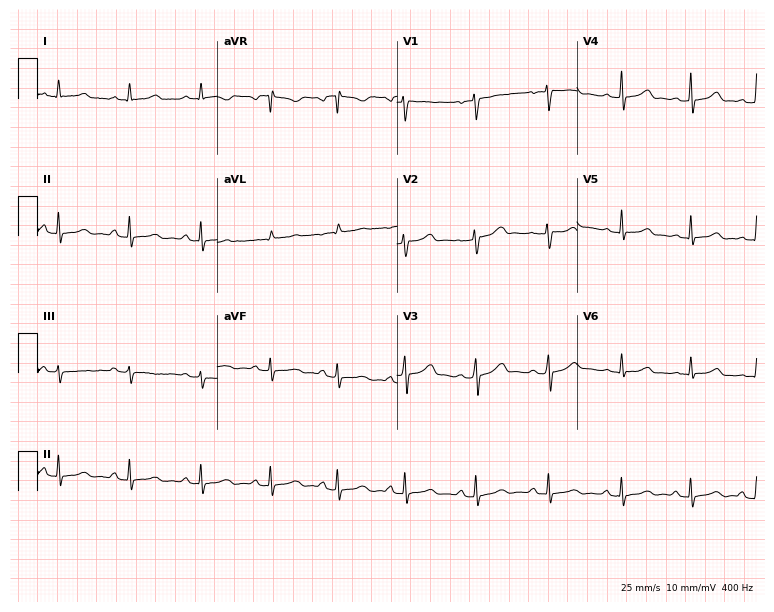
Resting 12-lead electrocardiogram (7.3-second recording at 400 Hz). Patient: a 27-year-old woman. None of these six findings is recorded: first-degree AV block, right bundle branch block, left bundle branch block, sinus bradycardia, atrial fibrillation, sinus tachycardia.